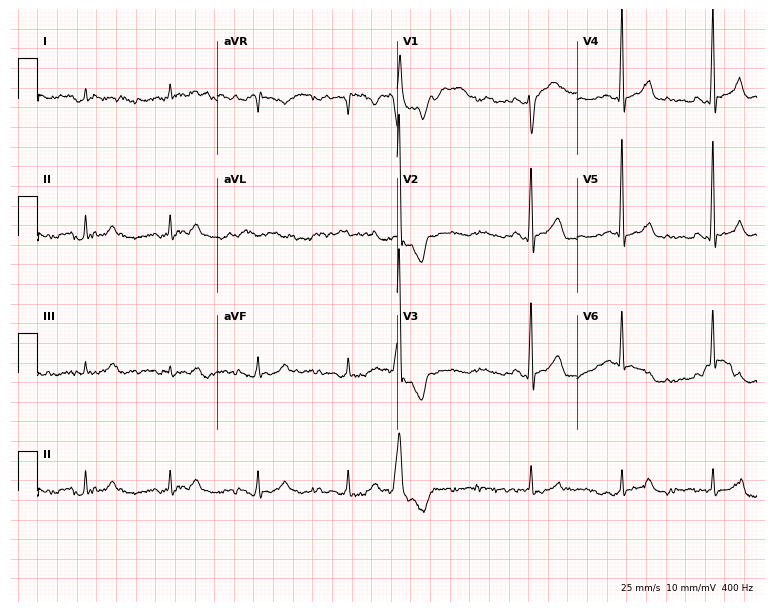
Electrocardiogram (7.3-second recording at 400 Hz), a male, 69 years old. Of the six screened findings (first-degree AV block, right bundle branch block, left bundle branch block, sinus bradycardia, atrial fibrillation, sinus tachycardia), none is recorded. Findings outside these six are not listed.